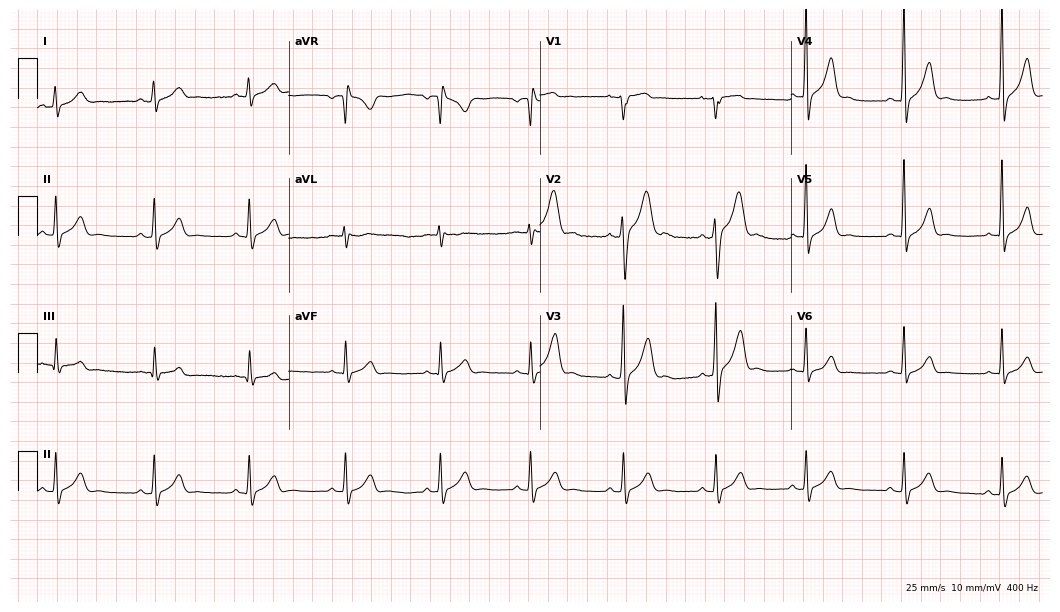
Resting 12-lead electrocardiogram (10.2-second recording at 400 Hz). Patient: a male, 25 years old. Read as a normal ECG.